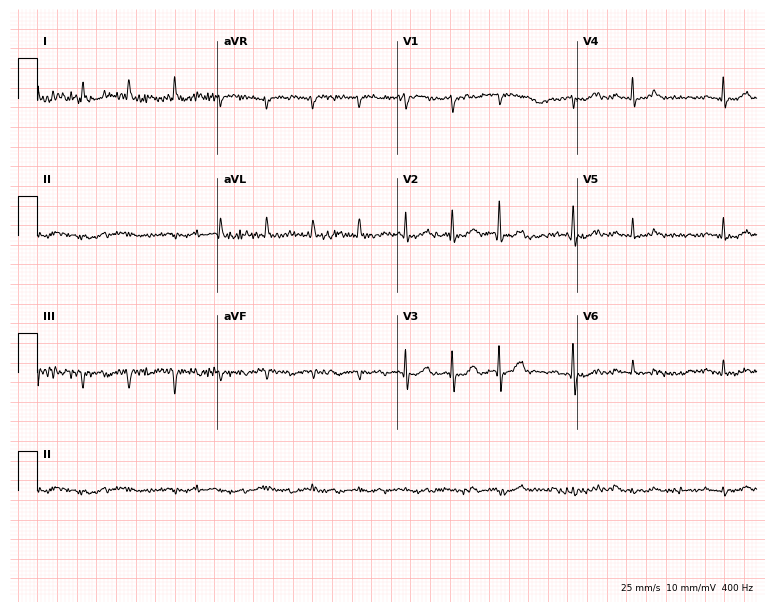
Standard 12-lead ECG recorded from an 84-year-old female. None of these six findings is recorded: first-degree AV block, right bundle branch block (RBBB), left bundle branch block (LBBB), sinus bradycardia, atrial fibrillation (AF), sinus tachycardia.